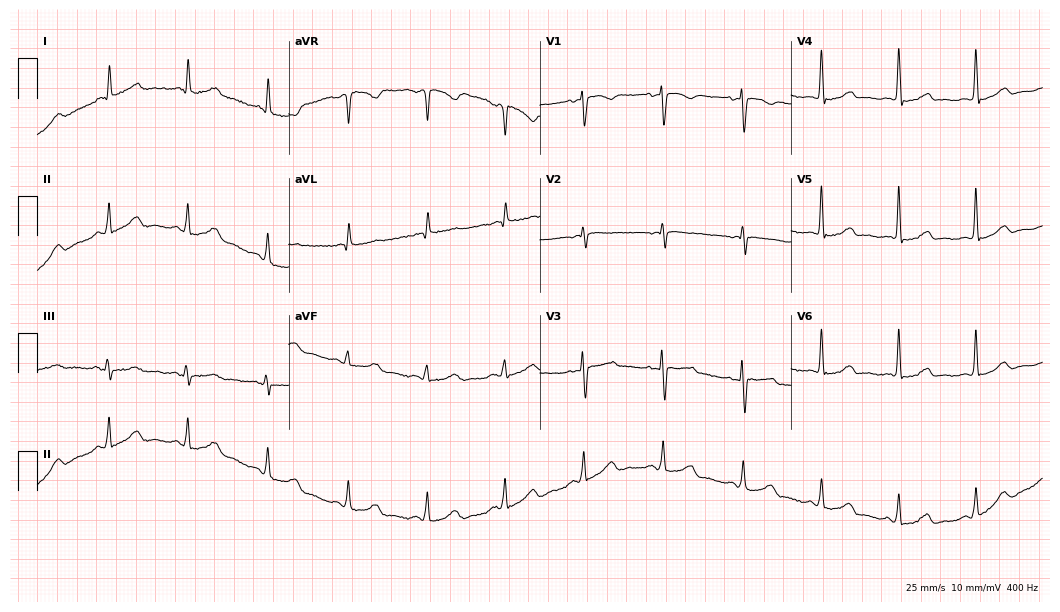
ECG (10.2-second recording at 400 Hz) — a woman, 83 years old. Labelled as a normal ECG.